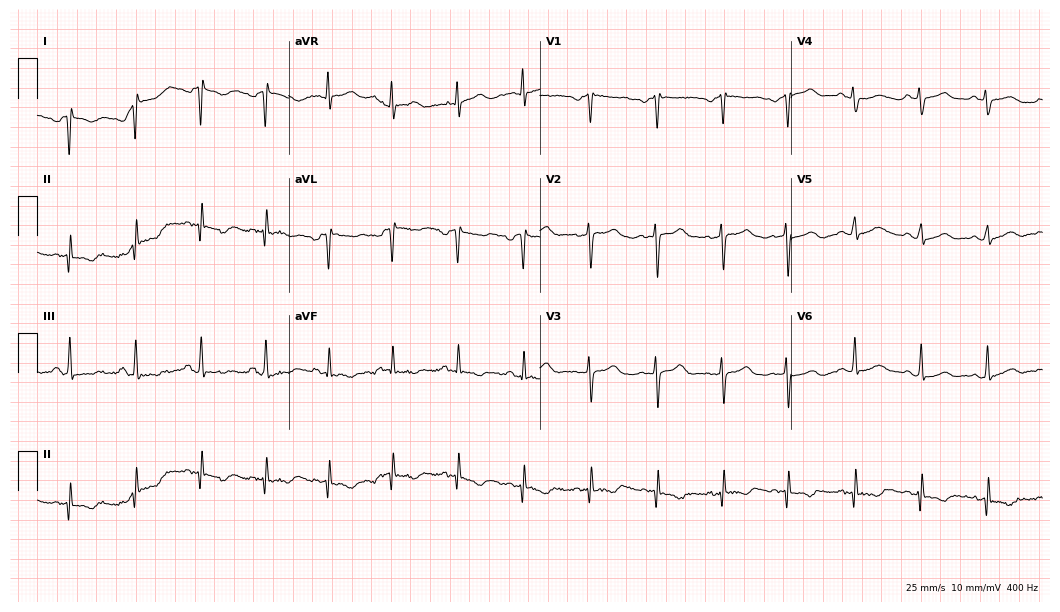
Electrocardiogram, a female, 37 years old. Of the six screened findings (first-degree AV block, right bundle branch block, left bundle branch block, sinus bradycardia, atrial fibrillation, sinus tachycardia), none is recorded. Other findings, if any, are not listed.